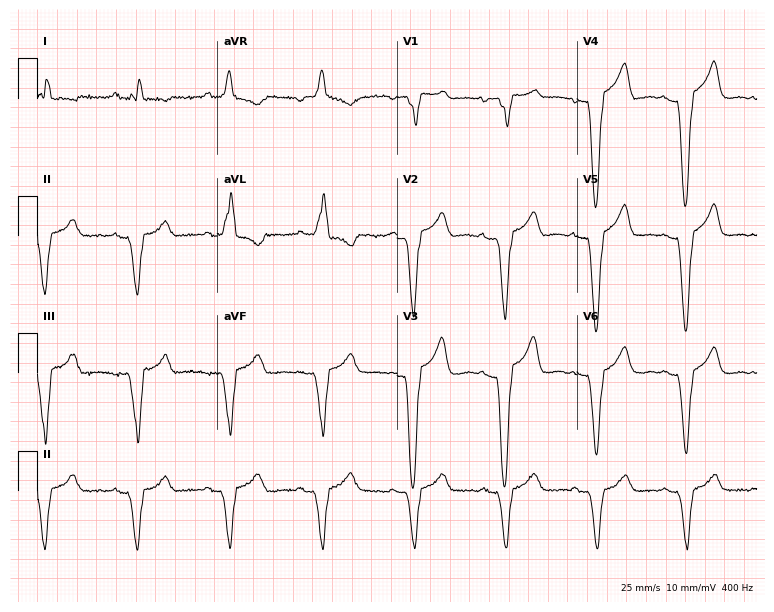
Resting 12-lead electrocardiogram (7.3-second recording at 400 Hz). Patient: a 57-year-old female. None of these six findings is recorded: first-degree AV block, right bundle branch block (RBBB), left bundle branch block (LBBB), sinus bradycardia, atrial fibrillation (AF), sinus tachycardia. Only these six findings were labelled.